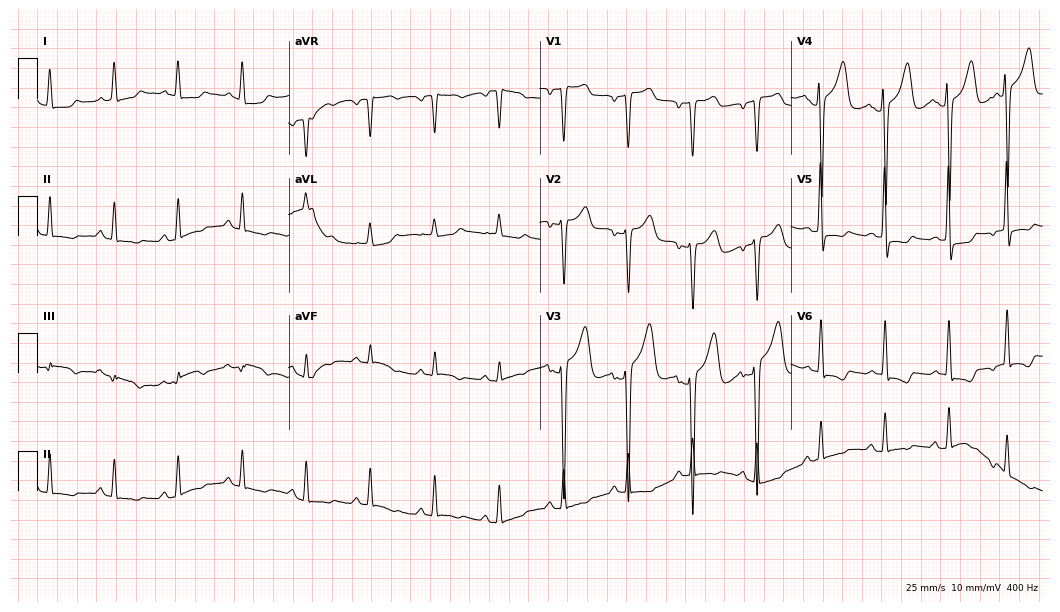
Resting 12-lead electrocardiogram. Patient: an 82-year-old female. None of these six findings is recorded: first-degree AV block, right bundle branch block, left bundle branch block, sinus bradycardia, atrial fibrillation, sinus tachycardia. Other findings, if any, are not listed.